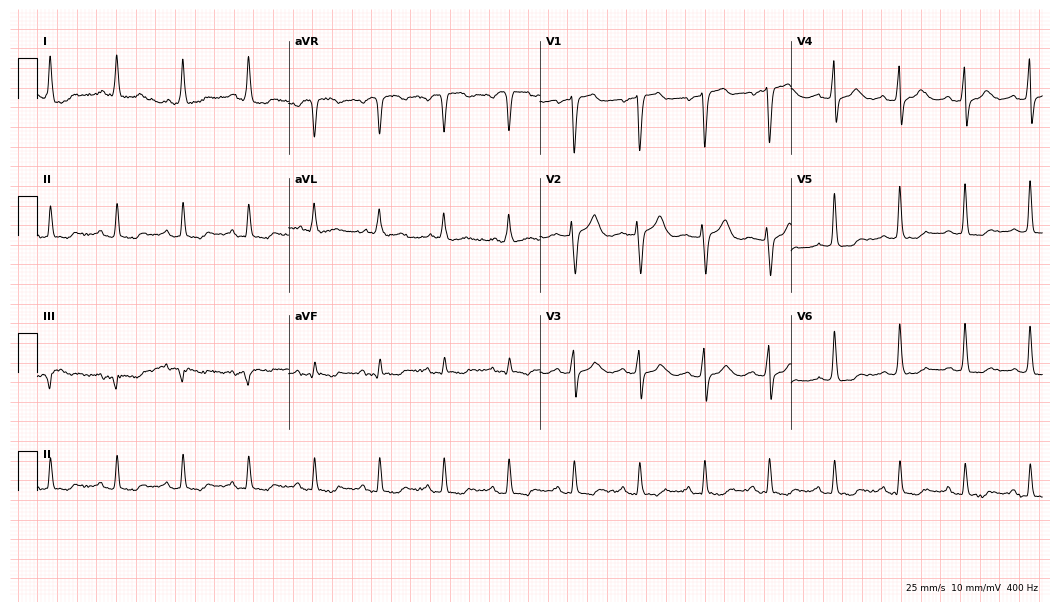
Resting 12-lead electrocardiogram. Patient: a woman, 76 years old. None of these six findings is recorded: first-degree AV block, right bundle branch block, left bundle branch block, sinus bradycardia, atrial fibrillation, sinus tachycardia. Other findings, if any, are not listed.